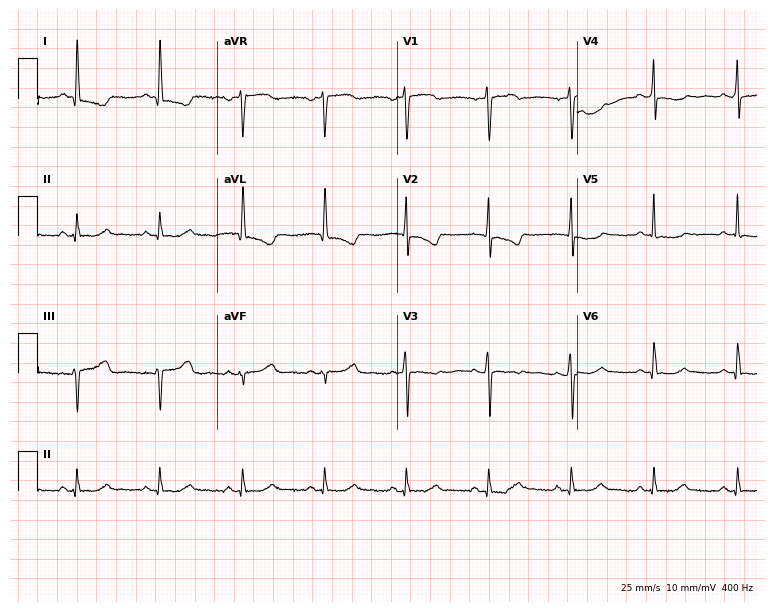
Standard 12-lead ECG recorded from a 56-year-old female. None of these six findings is recorded: first-degree AV block, right bundle branch block (RBBB), left bundle branch block (LBBB), sinus bradycardia, atrial fibrillation (AF), sinus tachycardia.